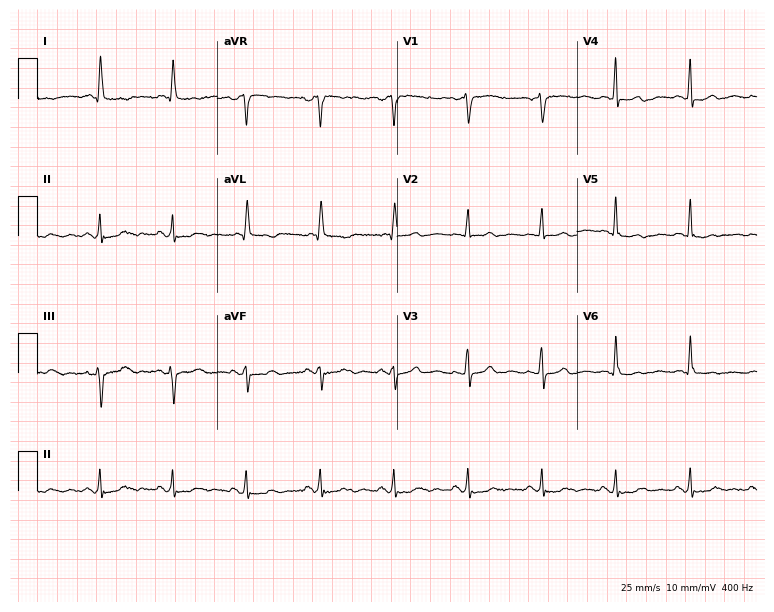
Standard 12-lead ECG recorded from a female, 75 years old (7.3-second recording at 400 Hz). None of these six findings is recorded: first-degree AV block, right bundle branch block, left bundle branch block, sinus bradycardia, atrial fibrillation, sinus tachycardia.